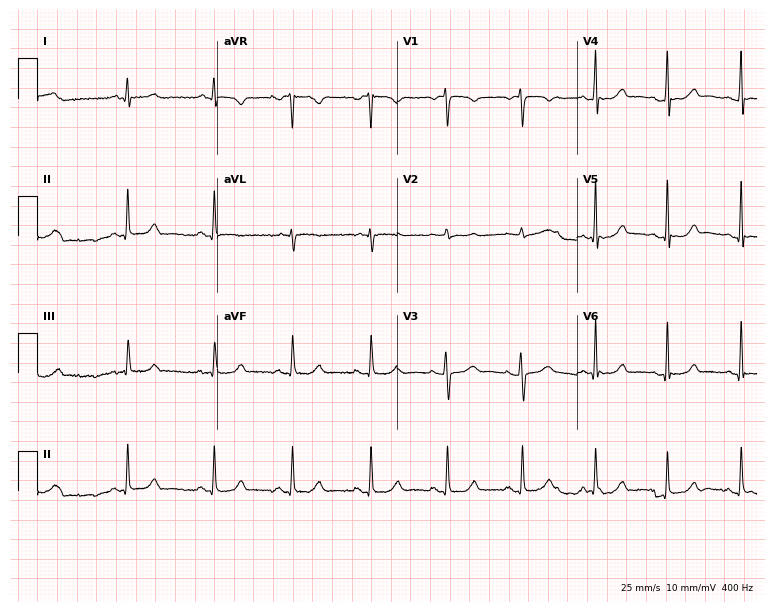
12-lead ECG (7.3-second recording at 400 Hz) from a woman, 29 years old. Labelled as a normal ECG.